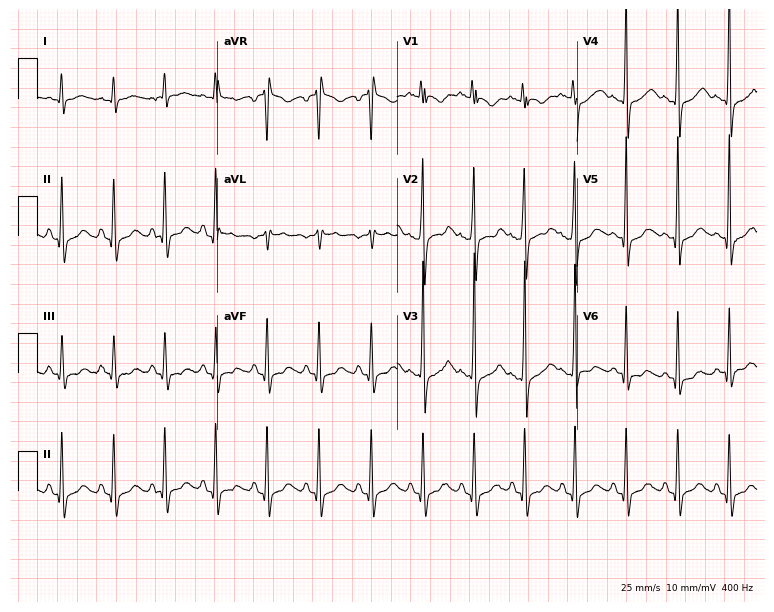
Standard 12-lead ECG recorded from a 22-year-old male (7.3-second recording at 400 Hz). The tracing shows sinus tachycardia (a sinus rate of 100 beats per minute or more).